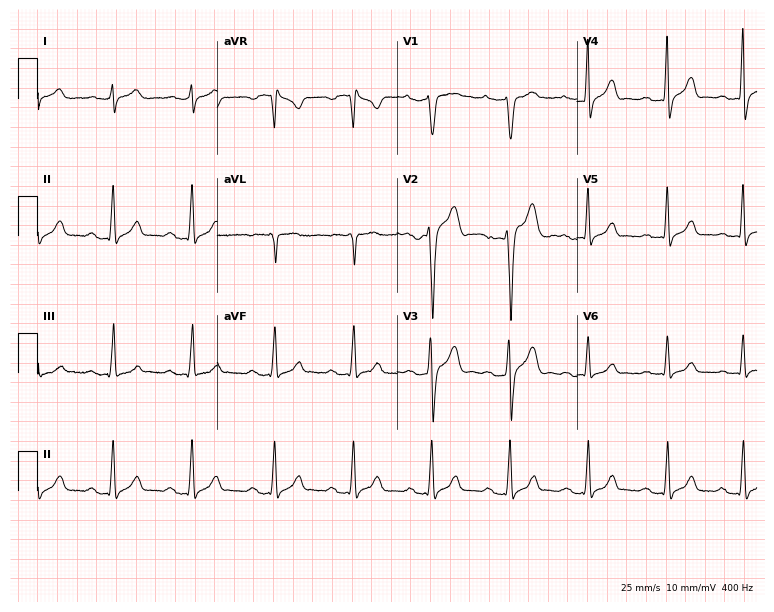
Standard 12-lead ECG recorded from a 32-year-old man. The tracing shows first-degree AV block.